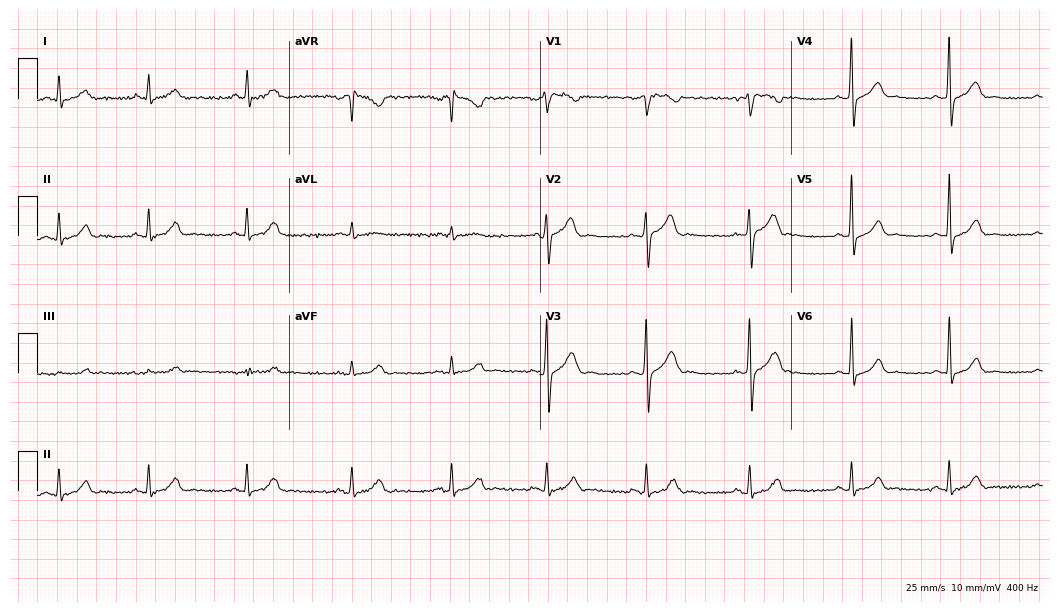
ECG (10.2-second recording at 400 Hz) — a man, 41 years old. Labelled as a normal ECG.